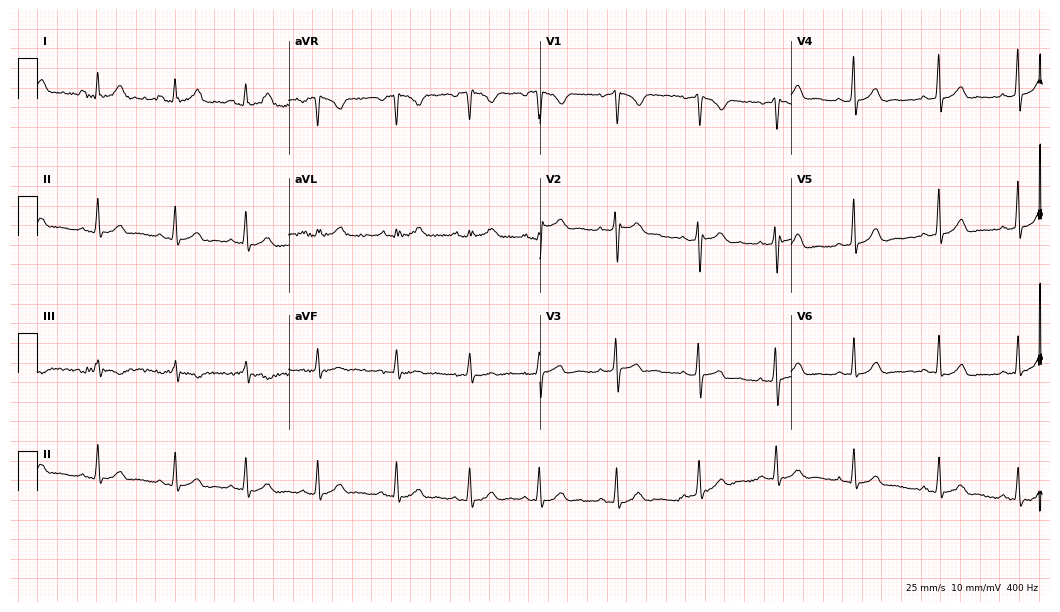
12-lead ECG from a female, 23 years old (10.2-second recording at 400 Hz). Recorded interpretation: within normal limits.